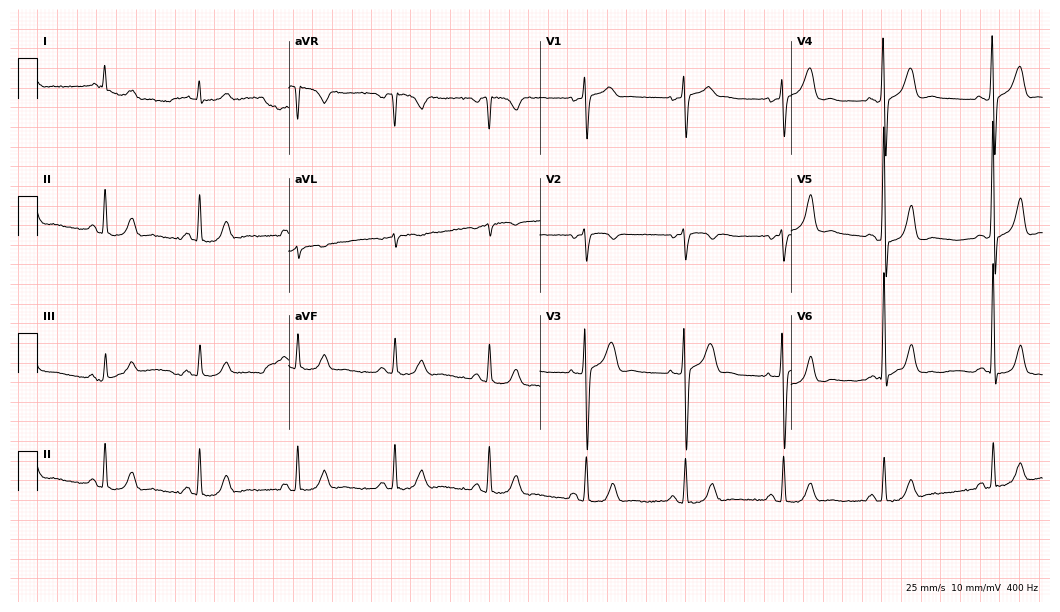
12-lead ECG from a man, 61 years old. Recorded interpretation: within normal limits.